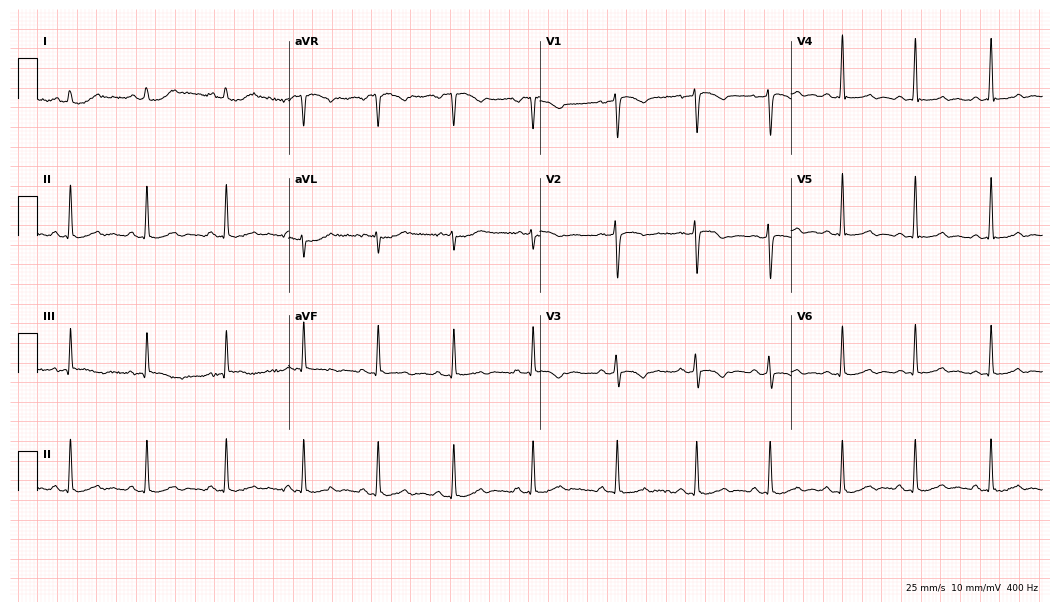
Standard 12-lead ECG recorded from a female patient, 42 years old. None of these six findings is recorded: first-degree AV block, right bundle branch block, left bundle branch block, sinus bradycardia, atrial fibrillation, sinus tachycardia. Findings outside these six are not listed.